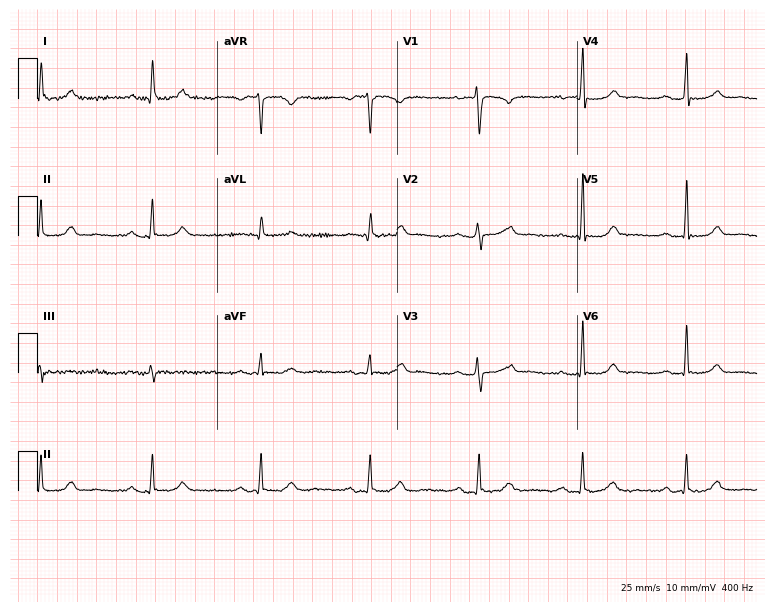
Standard 12-lead ECG recorded from a 59-year-old man. Read as a normal ECG.